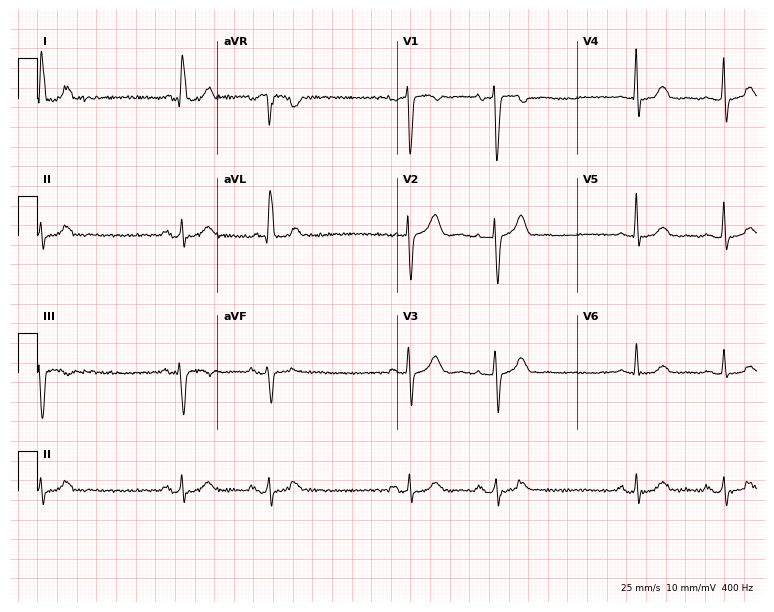
ECG — an 80-year-old woman. Screened for six findings — first-degree AV block, right bundle branch block, left bundle branch block, sinus bradycardia, atrial fibrillation, sinus tachycardia — none is recorded.